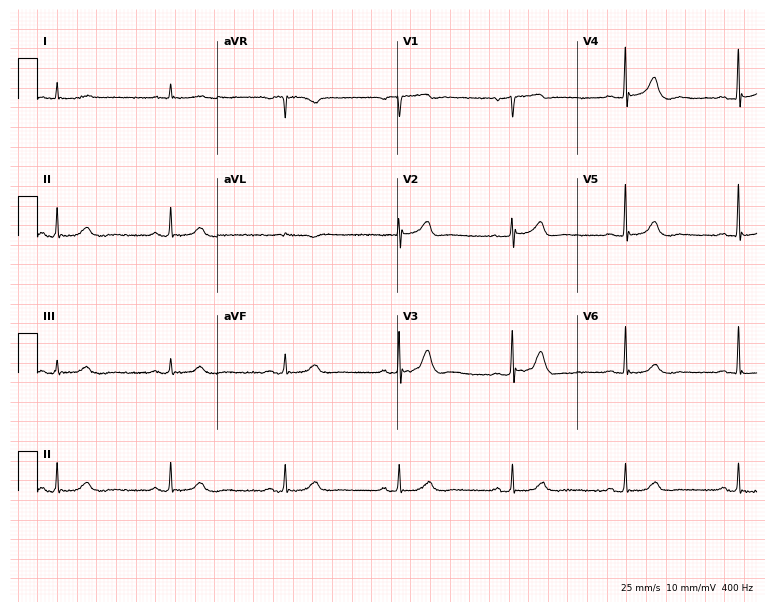
12-lead ECG from a man, 85 years old. No first-degree AV block, right bundle branch block, left bundle branch block, sinus bradycardia, atrial fibrillation or sinus tachycardia recorded for this tracing. Findings outside these six are not listed.